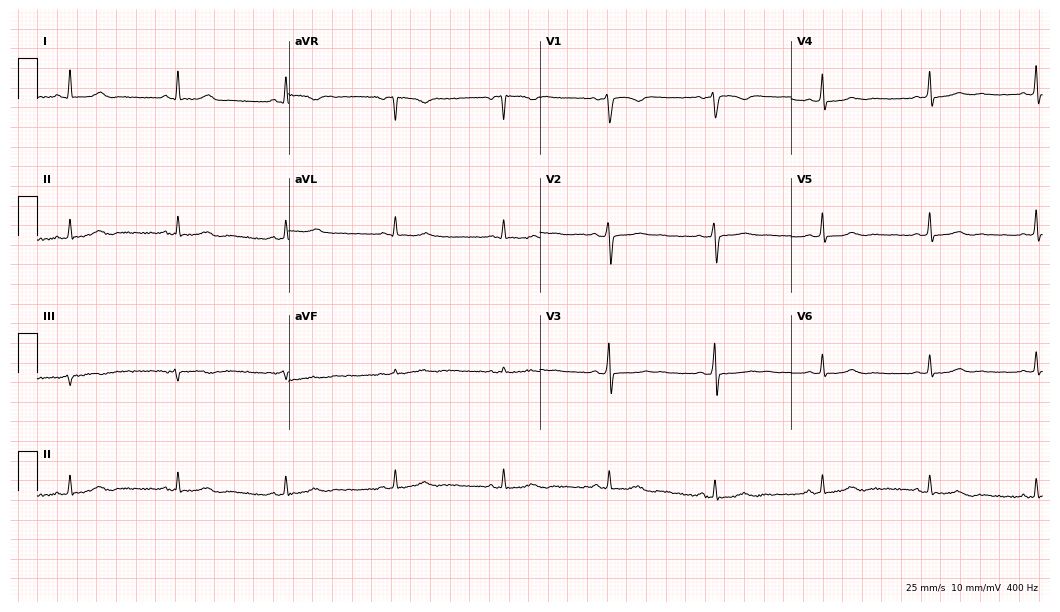
12-lead ECG (10.2-second recording at 400 Hz) from a female patient, 60 years old. Screened for six findings — first-degree AV block, right bundle branch block (RBBB), left bundle branch block (LBBB), sinus bradycardia, atrial fibrillation (AF), sinus tachycardia — none is recorded.